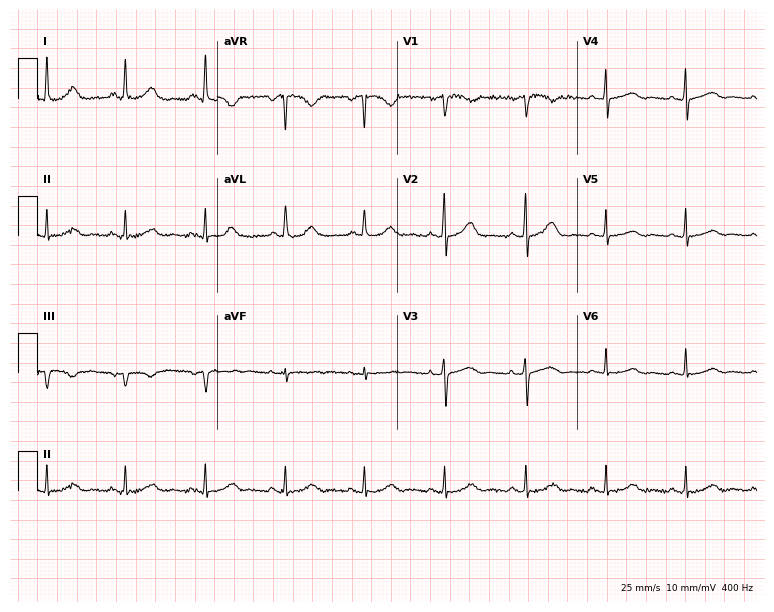
12-lead ECG from a 63-year-old female patient. No first-degree AV block, right bundle branch block (RBBB), left bundle branch block (LBBB), sinus bradycardia, atrial fibrillation (AF) or sinus tachycardia recorded for this tracing.